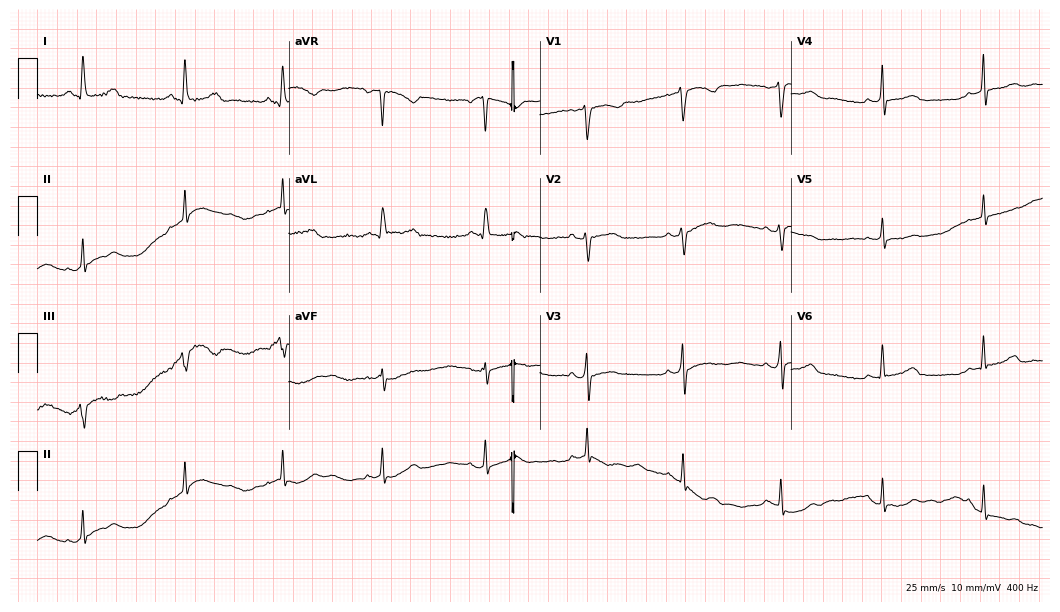
12-lead ECG (10.2-second recording at 400 Hz) from a 50-year-old female. Screened for six findings — first-degree AV block, right bundle branch block (RBBB), left bundle branch block (LBBB), sinus bradycardia, atrial fibrillation (AF), sinus tachycardia — none is recorded.